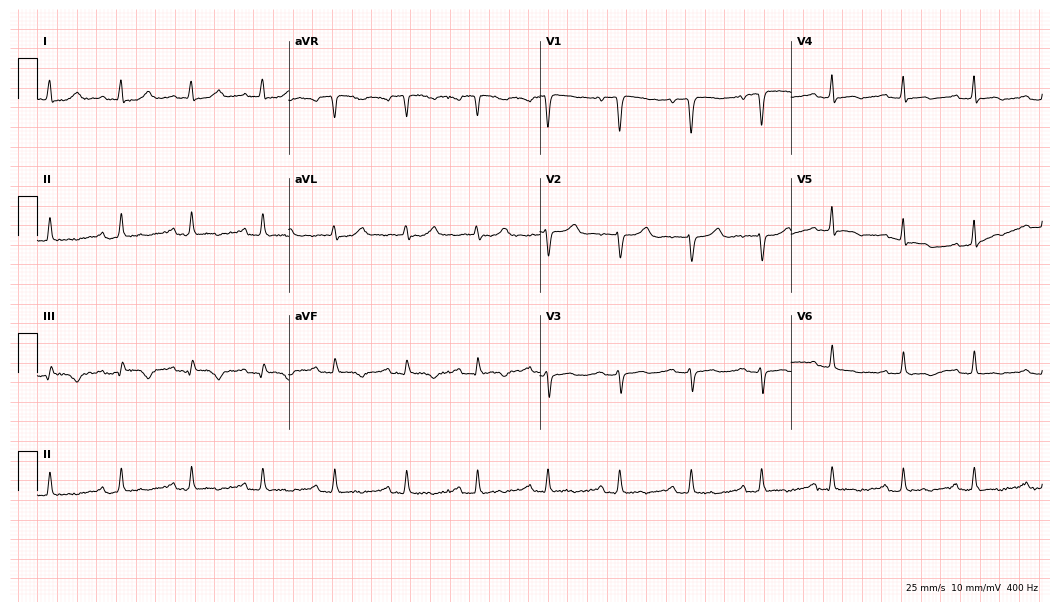
Electrocardiogram, a female, 58 years old. Overall reading on record: normal ECG.